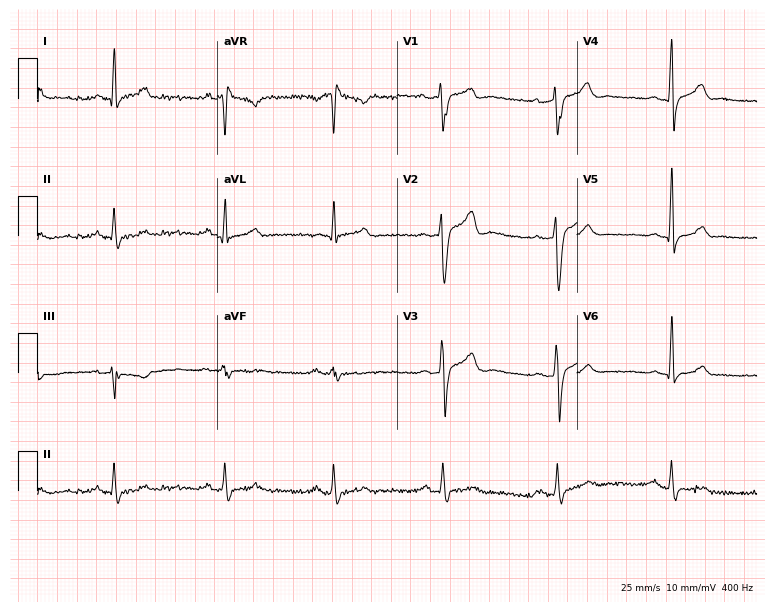
12-lead ECG from a male patient, 47 years old. No first-degree AV block, right bundle branch block, left bundle branch block, sinus bradycardia, atrial fibrillation or sinus tachycardia recorded for this tracing. Only these six findings were labelled.